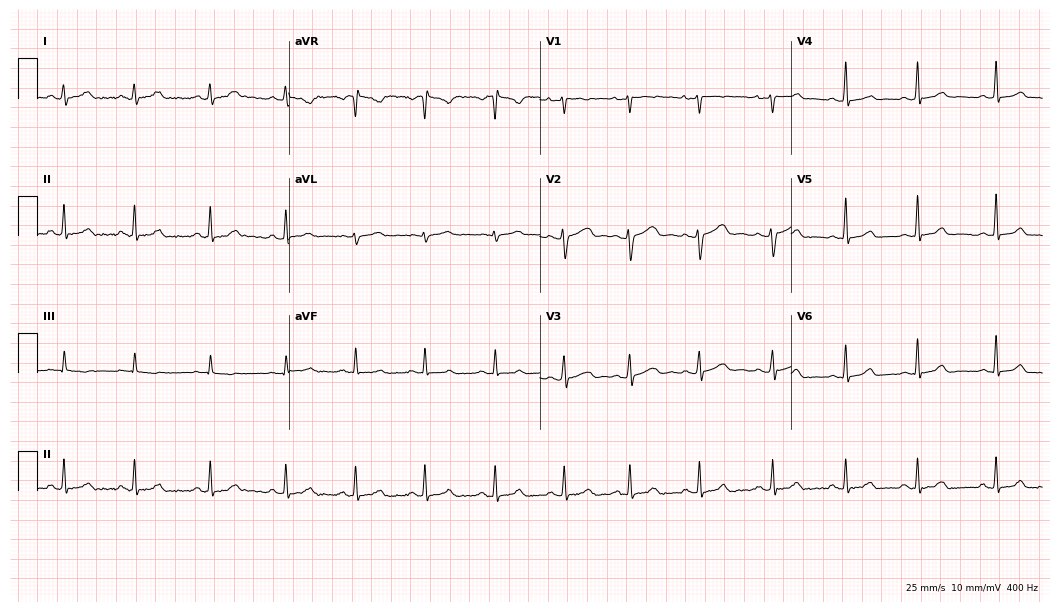
Standard 12-lead ECG recorded from a female patient, 17 years old. None of these six findings is recorded: first-degree AV block, right bundle branch block, left bundle branch block, sinus bradycardia, atrial fibrillation, sinus tachycardia.